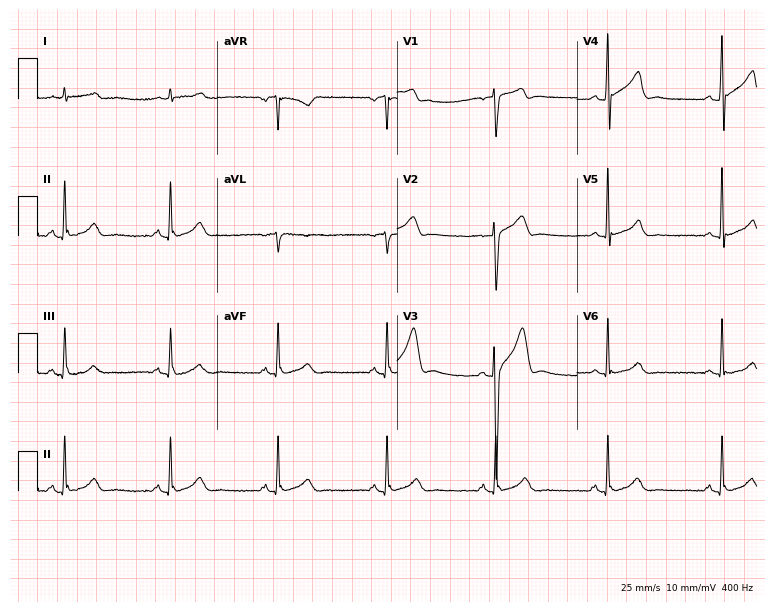
ECG — a male patient, 58 years old. Labelled as a normal ECG.